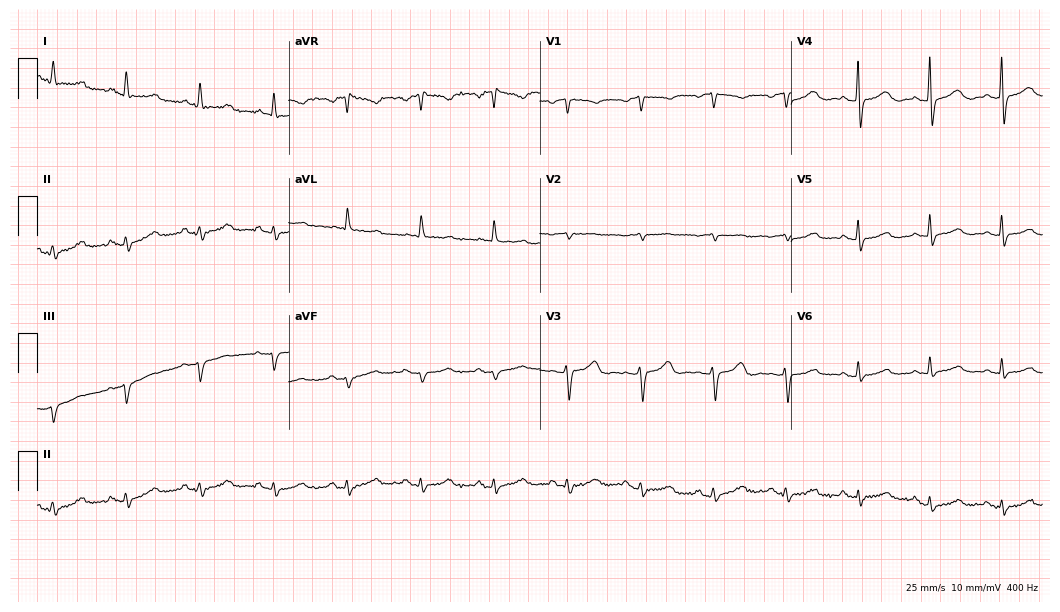
Standard 12-lead ECG recorded from a 77-year-old woman. None of these six findings is recorded: first-degree AV block, right bundle branch block, left bundle branch block, sinus bradycardia, atrial fibrillation, sinus tachycardia. Only these six findings were labelled.